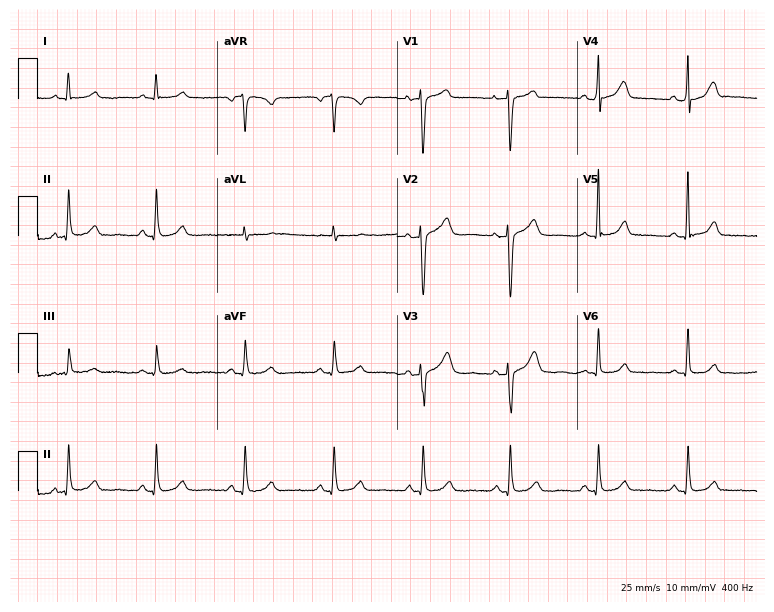
Resting 12-lead electrocardiogram. Patient: a woman, 64 years old. Read as a normal ECG.